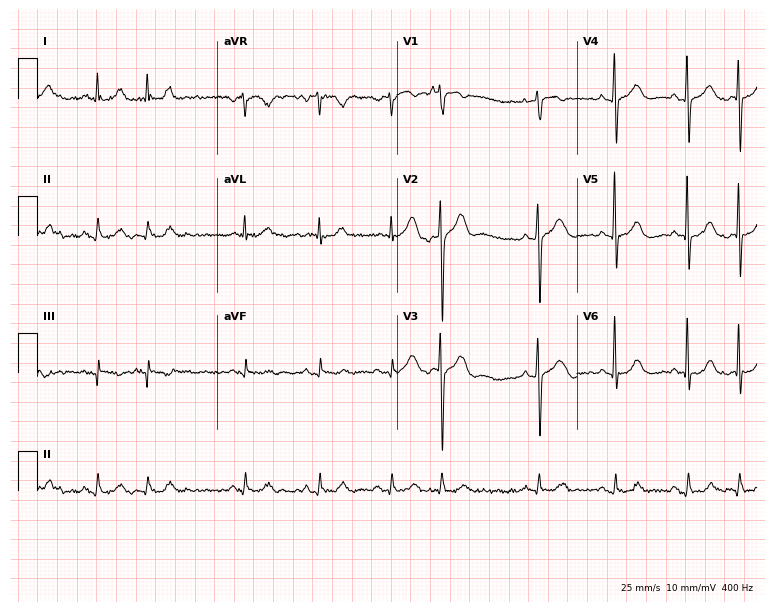
Standard 12-lead ECG recorded from a man, 80 years old (7.3-second recording at 400 Hz). Read as a normal ECG.